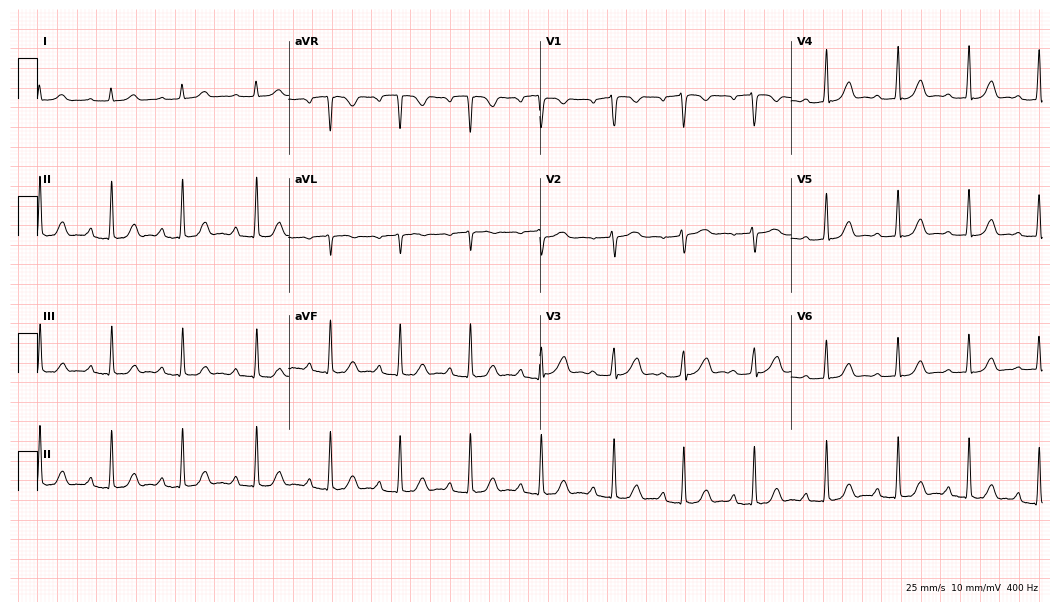
12-lead ECG (10.2-second recording at 400 Hz) from a female patient, 29 years old. Screened for six findings — first-degree AV block, right bundle branch block, left bundle branch block, sinus bradycardia, atrial fibrillation, sinus tachycardia — none is recorded. Only these six findings were labelled.